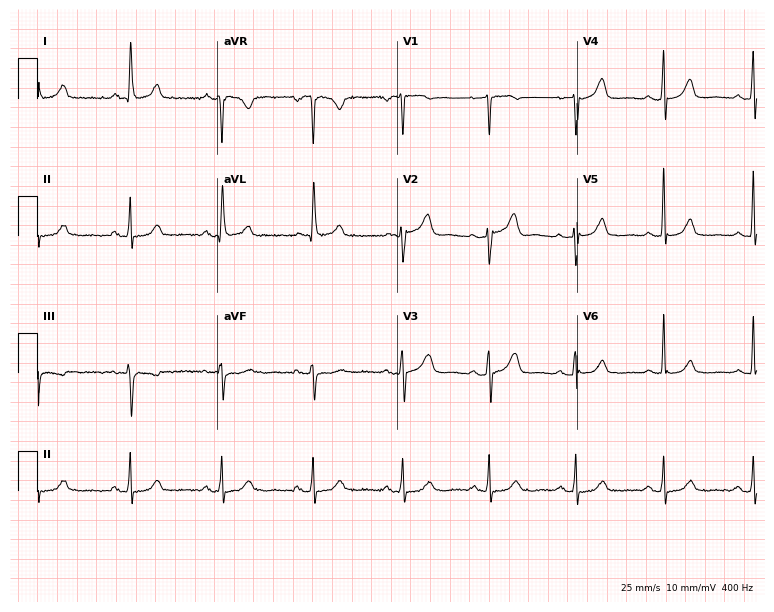
Standard 12-lead ECG recorded from a 64-year-old woman (7.3-second recording at 400 Hz). Read as a normal ECG.